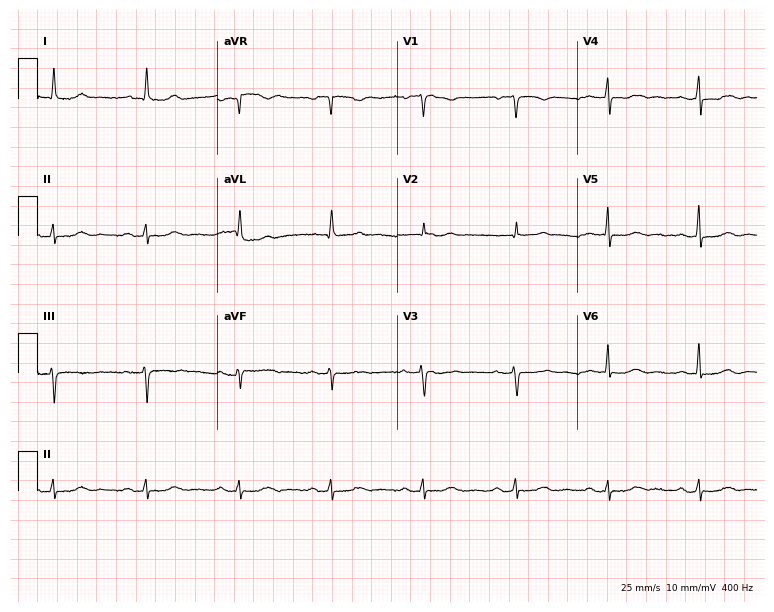
Standard 12-lead ECG recorded from a 67-year-old woman (7.3-second recording at 400 Hz). None of these six findings is recorded: first-degree AV block, right bundle branch block (RBBB), left bundle branch block (LBBB), sinus bradycardia, atrial fibrillation (AF), sinus tachycardia.